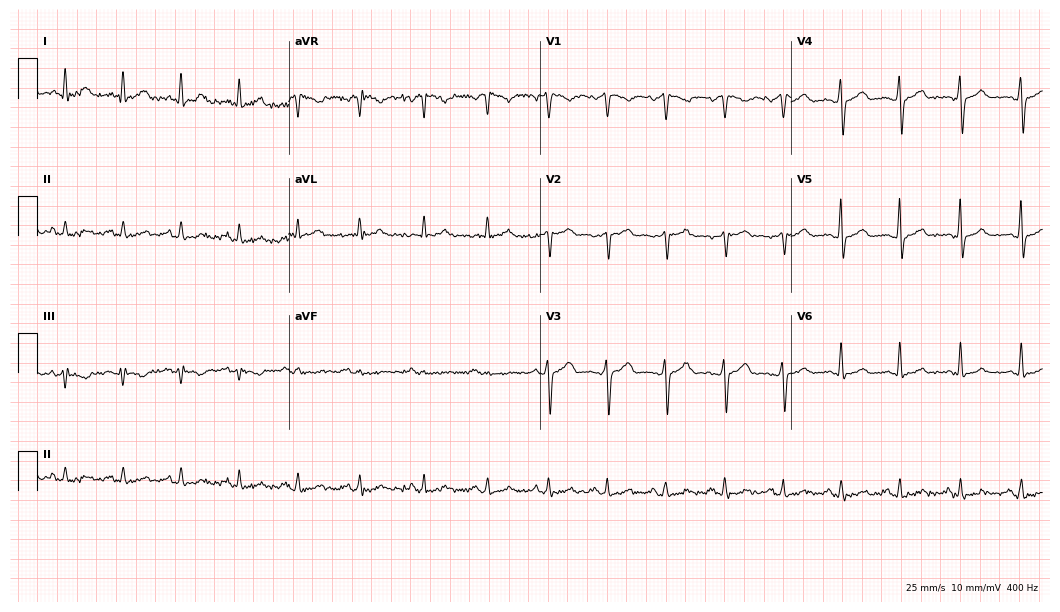
Standard 12-lead ECG recorded from a man, 46 years old (10.2-second recording at 400 Hz). None of these six findings is recorded: first-degree AV block, right bundle branch block, left bundle branch block, sinus bradycardia, atrial fibrillation, sinus tachycardia.